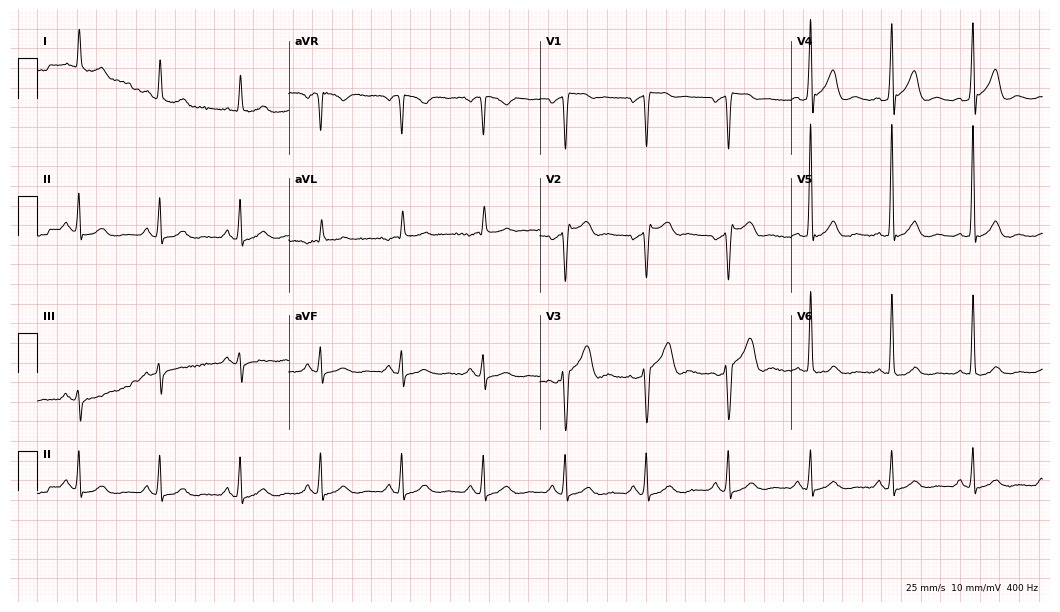
ECG — a 59-year-old male. Screened for six findings — first-degree AV block, right bundle branch block (RBBB), left bundle branch block (LBBB), sinus bradycardia, atrial fibrillation (AF), sinus tachycardia — none is recorded.